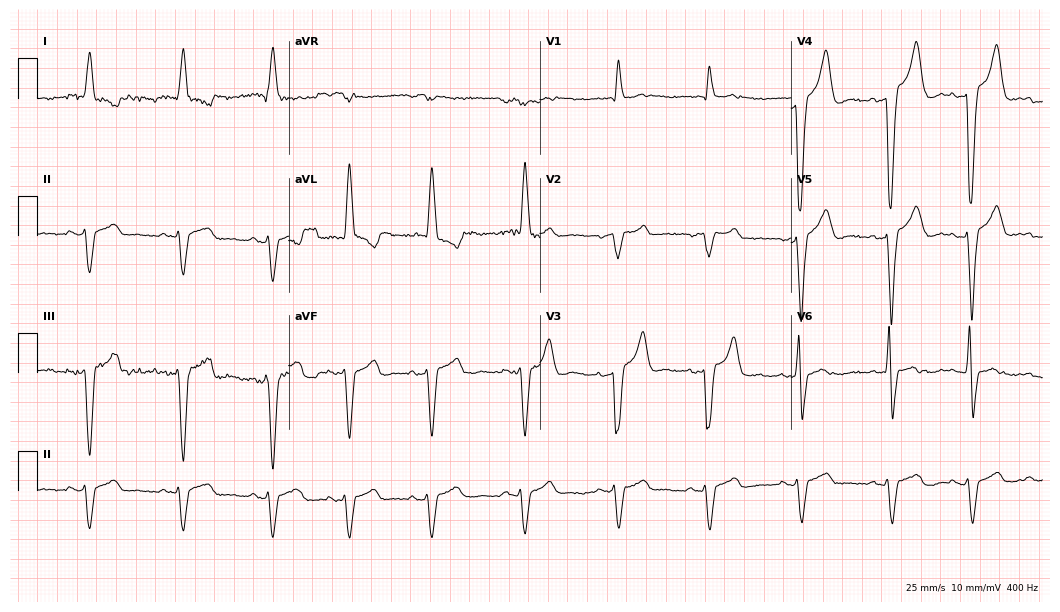
12-lead ECG from a man, 84 years old (10.2-second recording at 400 Hz). Shows right bundle branch block.